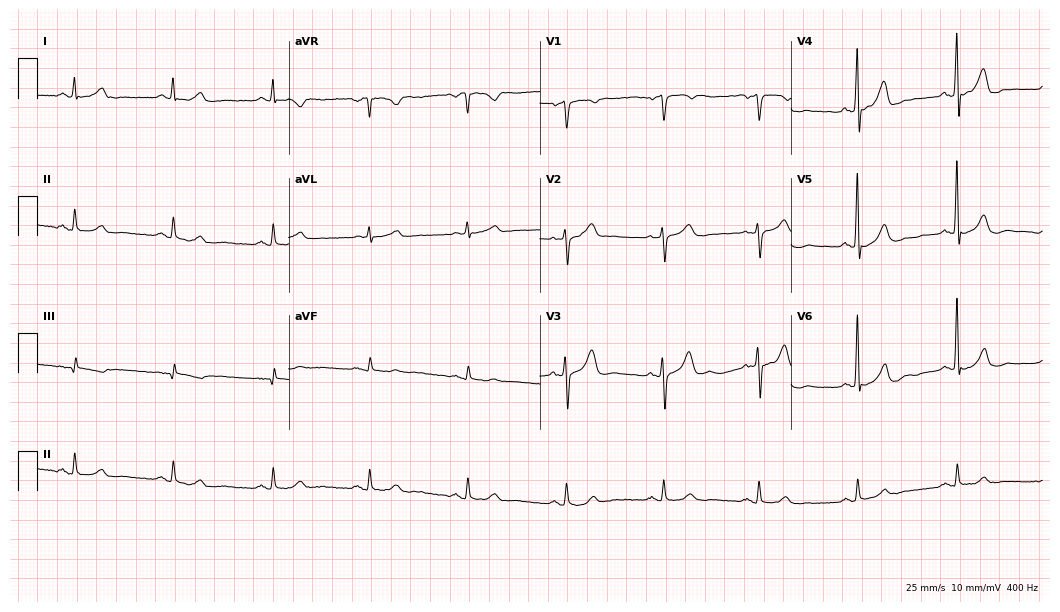
Electrocardiogram (10.2-second recording at 400 Hz), a male patient, 62 years old. Overall reading on record: normal ECG.